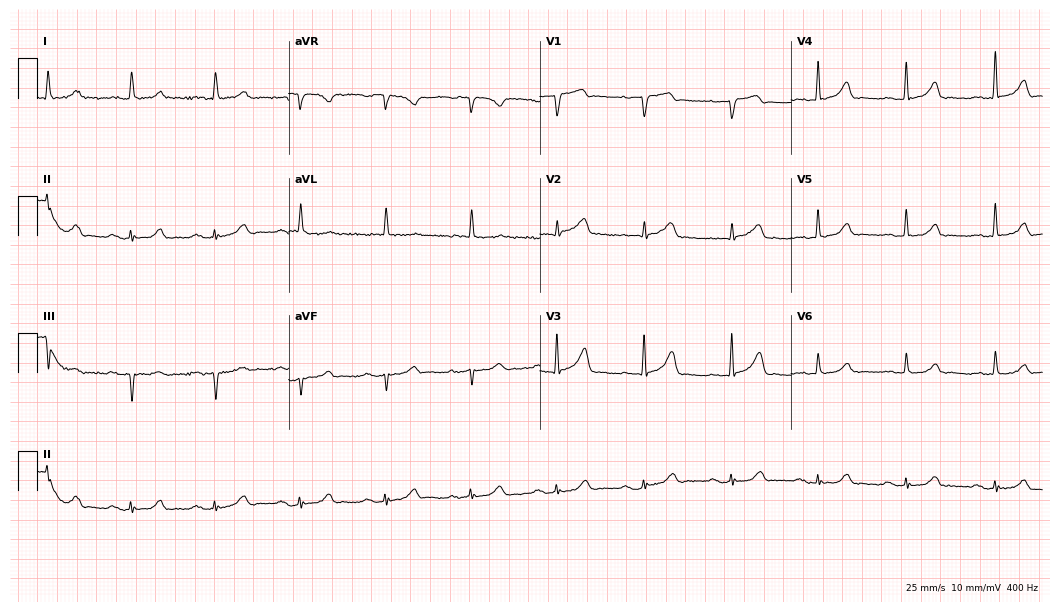
Standard 12-lead ECG recorded from an 86-year-old male. Read as a normal ECG.